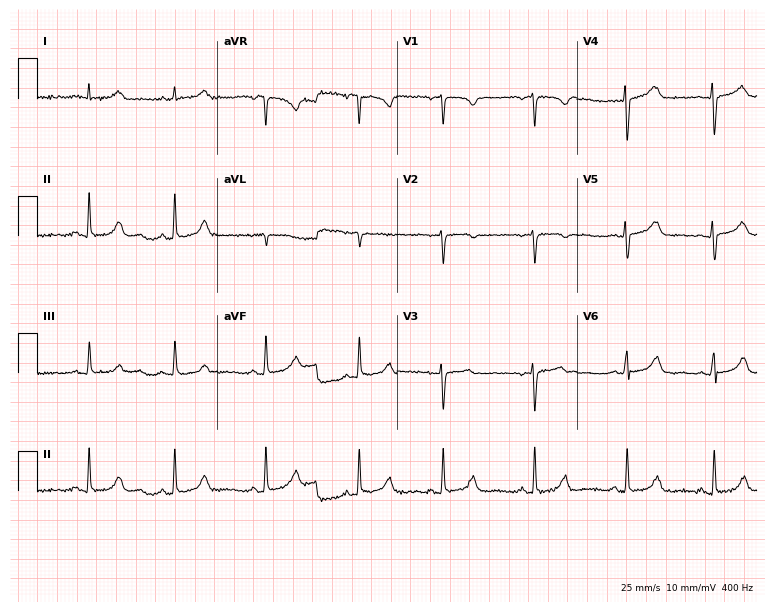
Resting 12-lead electrocardiogram (7.3-second recording at 400 Hz). Patient: a woman, 43 years old. None of these six findings is recorded: first-degree AV block, right bundle branch block, left bundle branch block, sinus bradycardia, atrial fibrillation, sinus tachycardia. Other findings, if any, are not listed.